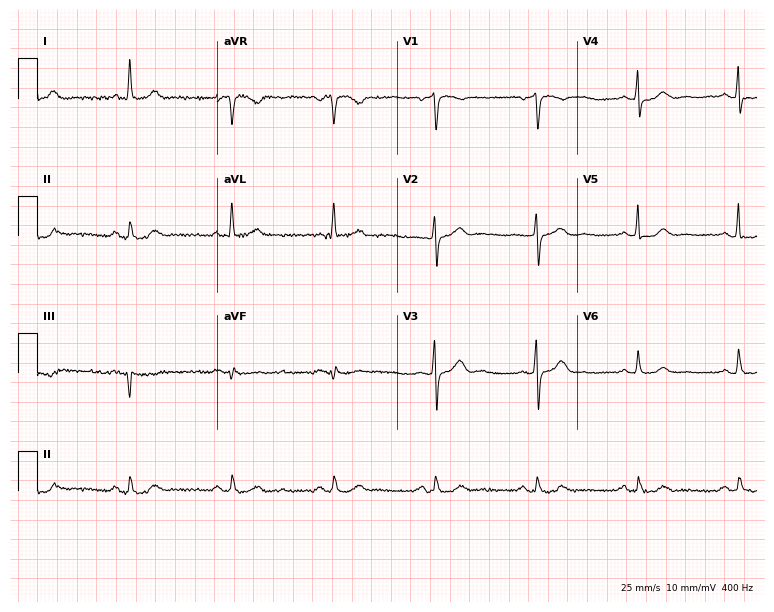
ECG — a female patient, 71 years old. Labelled as a normal ECG.